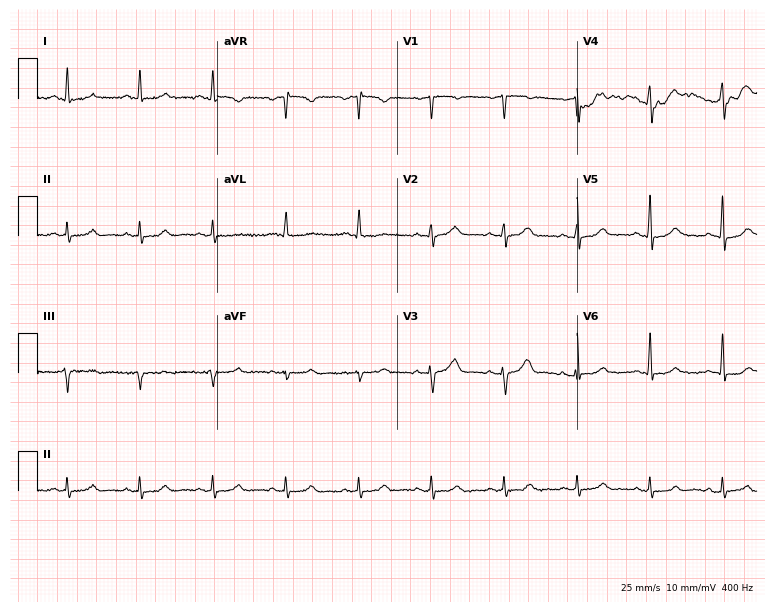
Electrocardiogram, a 76-year-old male patient. Overall reading on record: normal ECG.